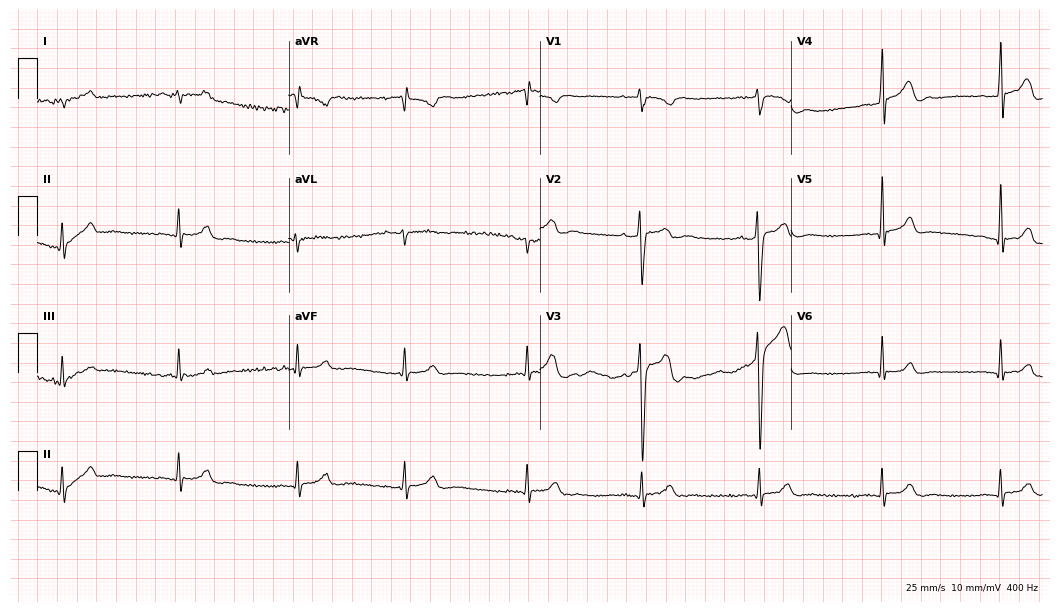
Resting 12-lead electrocardiogram (10.2-second recording at 400 Hz). Patient: a male, 23 years old. Read as a normal ECG.